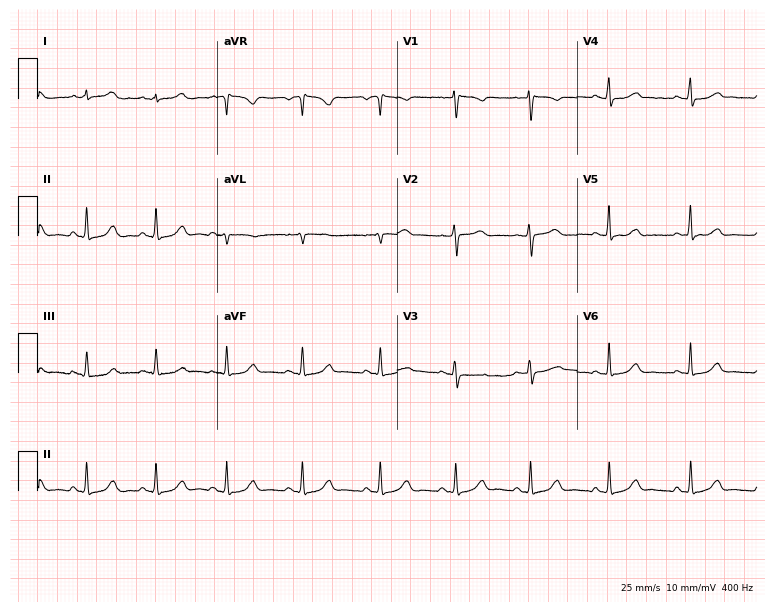
12-lead ECG (7.3-second recording at 400 Hz) from a 31-year-old woman. Labelled as a normal ECG.